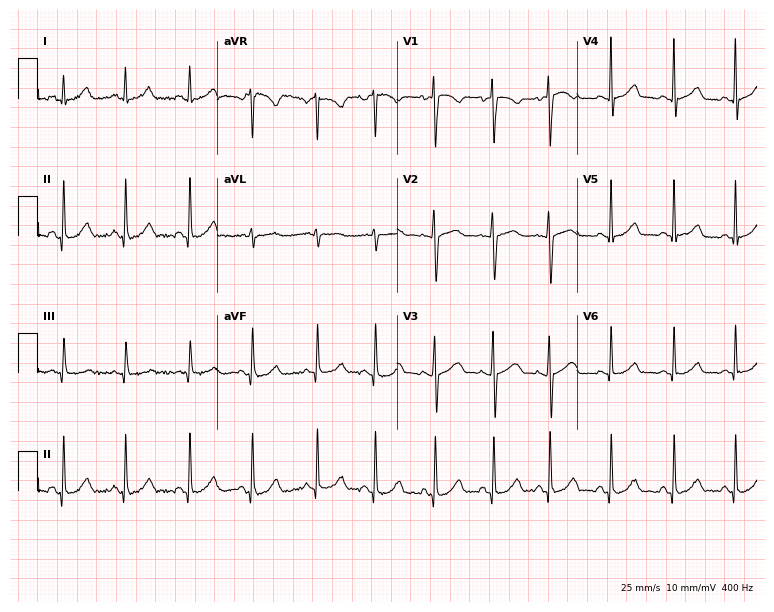
ECG — a 22-year-old woman. Labelled as a normal ECG.